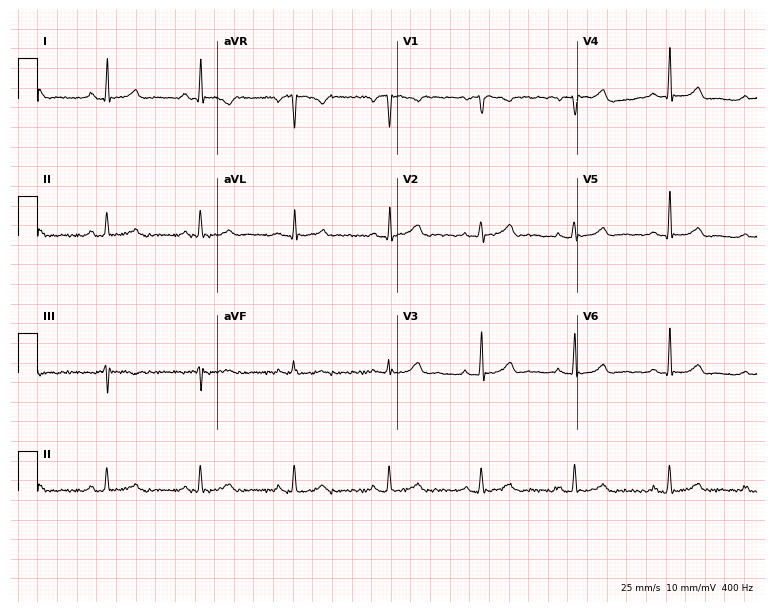
ECG (7.3-second recording at 400 Hz) — a 61-year-old female patient. Screened for six findings — first-degree AV block, right bundle branch block, left bundle branch block, sinus bradycardia, atrial fibrillation, sinus tachycardia — none is recorded. Only these six findings were labelled.